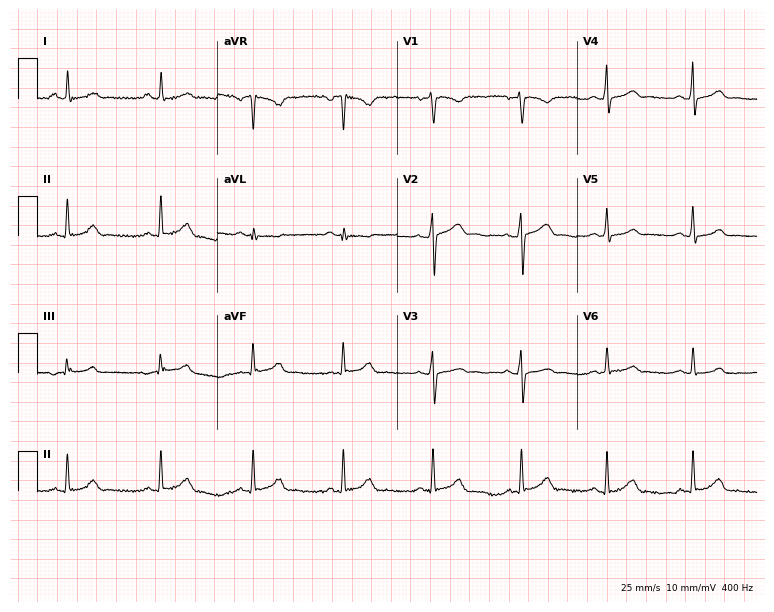
Resting 12-lead electrocardiogram. Patient: a man, 47 years old. Read as a normal ECG.